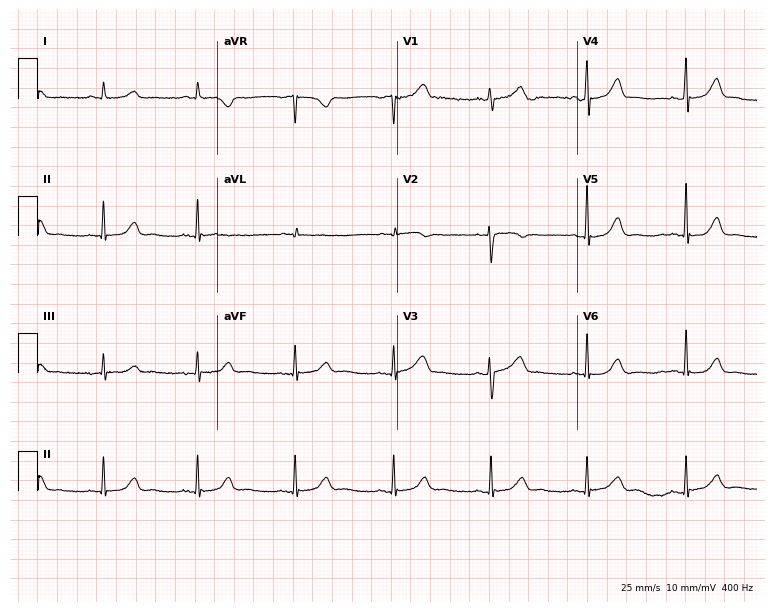
Electrocardiogram, a 61-year-old woman. Overall reading on record: normal ECG.